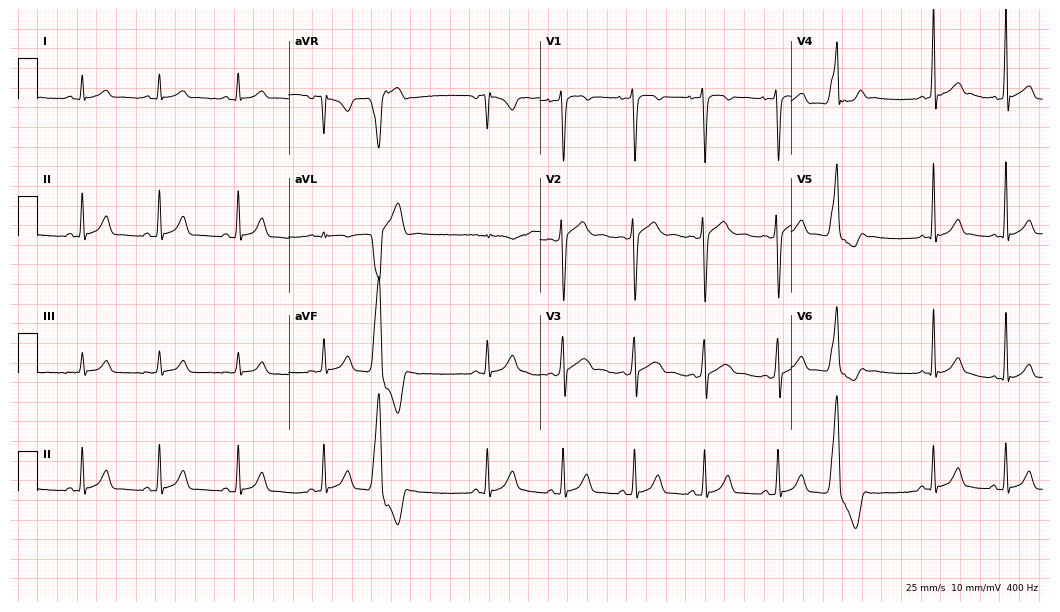
ECG — a 29-year-old male. Screened for six findings — first-degree AV block, right bundle branch block, left bundle branch block, sinus bradycardia, atrial fibrillation, sinus tachycardia — none is recorded.